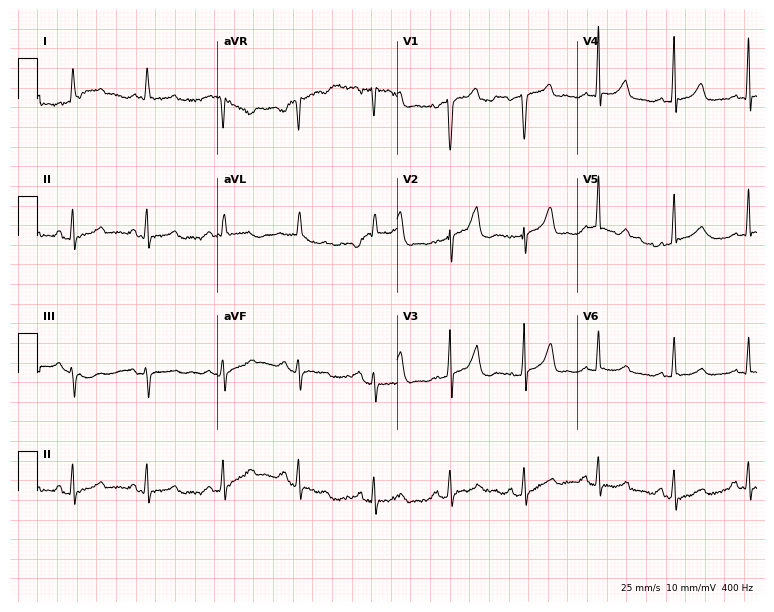
ECG (7.3-second recording at 400 Hz) — a woman, 62 years old. Labelled as a normal ECG.